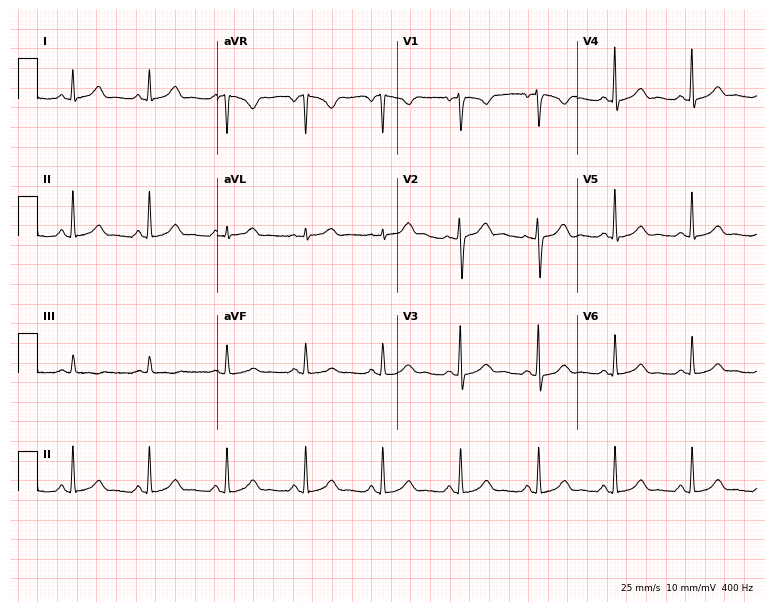
ECG — a 43-year-old female. Labelled as a normal ECG.